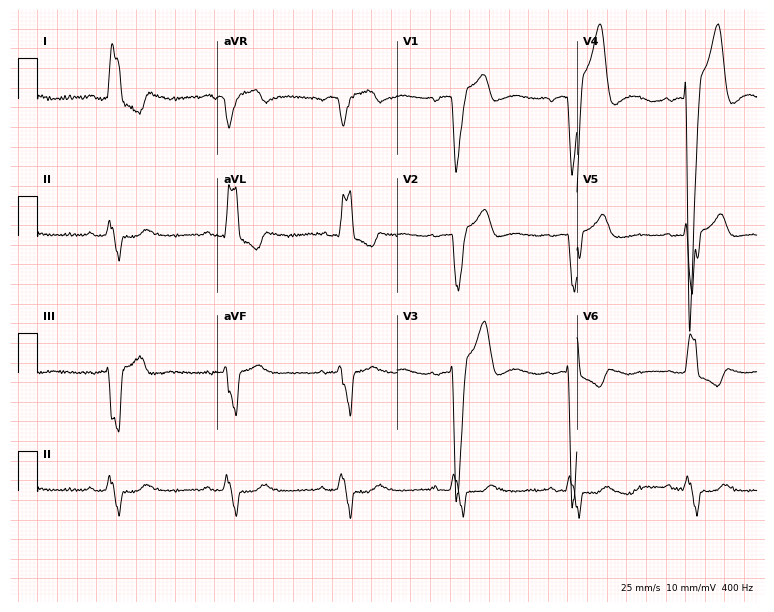
12-lead ECG from a woman, 77 years old. Shows left bundle branch block.